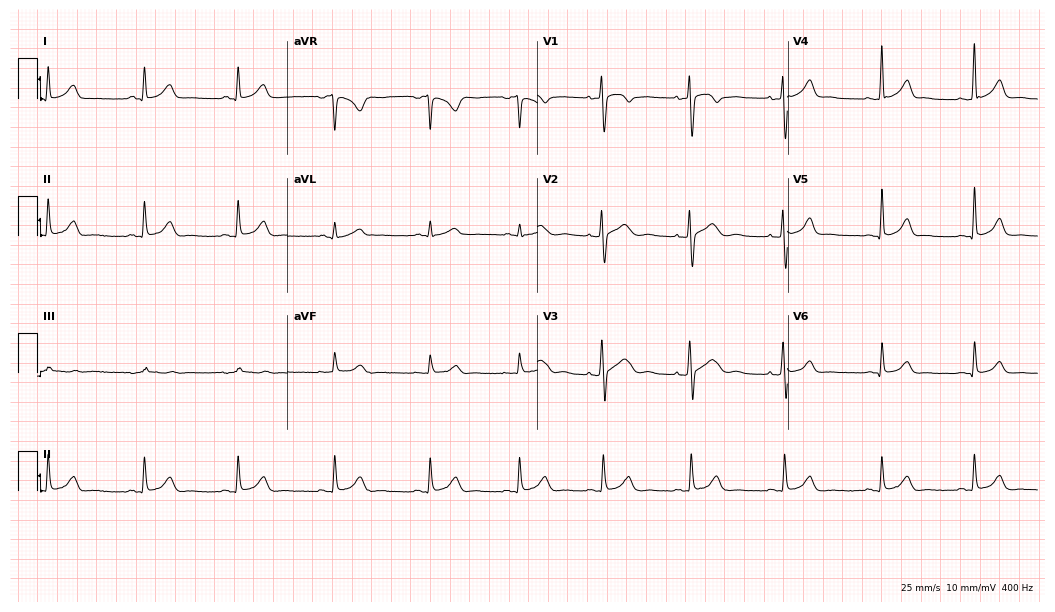
Resting 12-lead electrocardiogram (10.2-second recording at 400 Hz). Patient: a female, 18 years old. Read as a normal ECG.